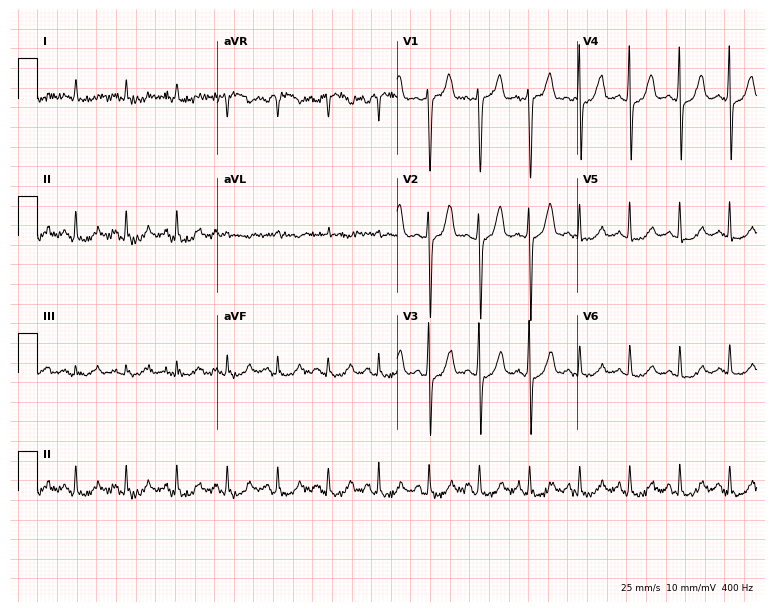
ECG (7.3-second recording at 400 Hz) — a 78-year-old female patient. Findings include sinus tachycardia (a sinus rate of 100 beats per minute or more).